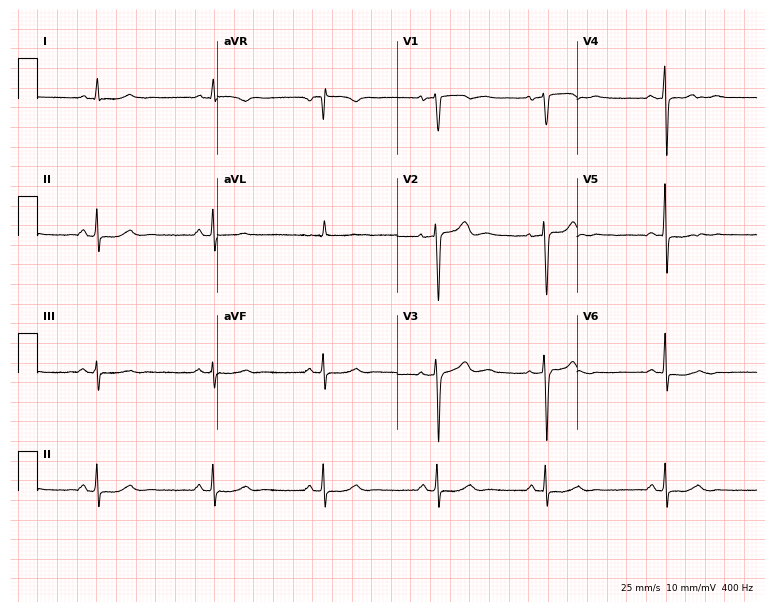
12-lead ECG (7.3-second recording at 400 Hz) from a 47-year-old female. Screened for six findings — first-degree AV block, right bundle branch block, left bundle branch block, sinus bradycardia, atrial fibrillation, sinus tachycardia — none is recorded.